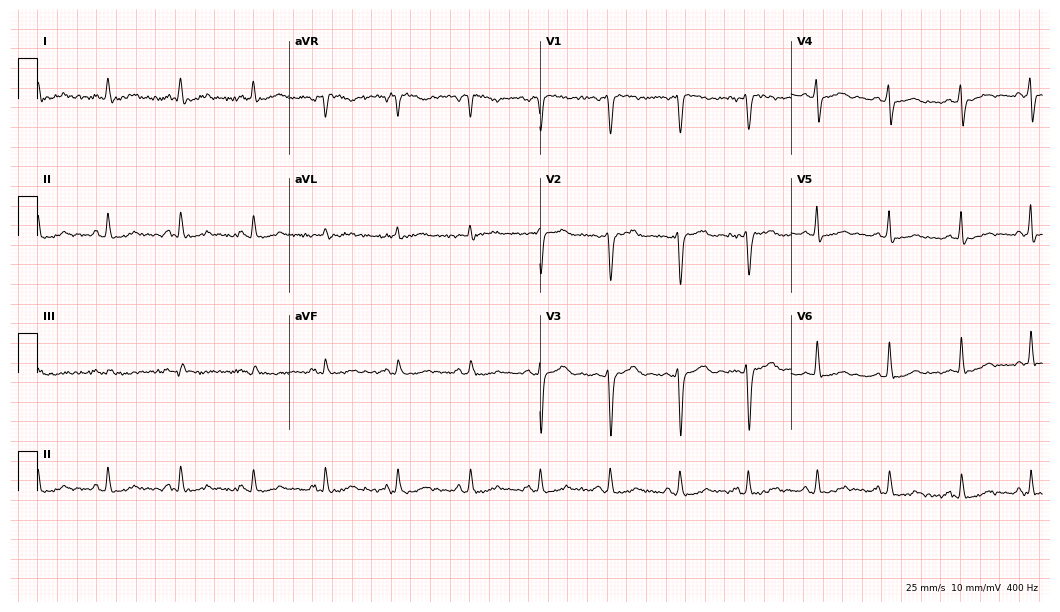
Resting 12-lead electrocardiogram (10.2-second recording at 400 Hz). Patient: a female, 38 years old. Read as a normal ECG.